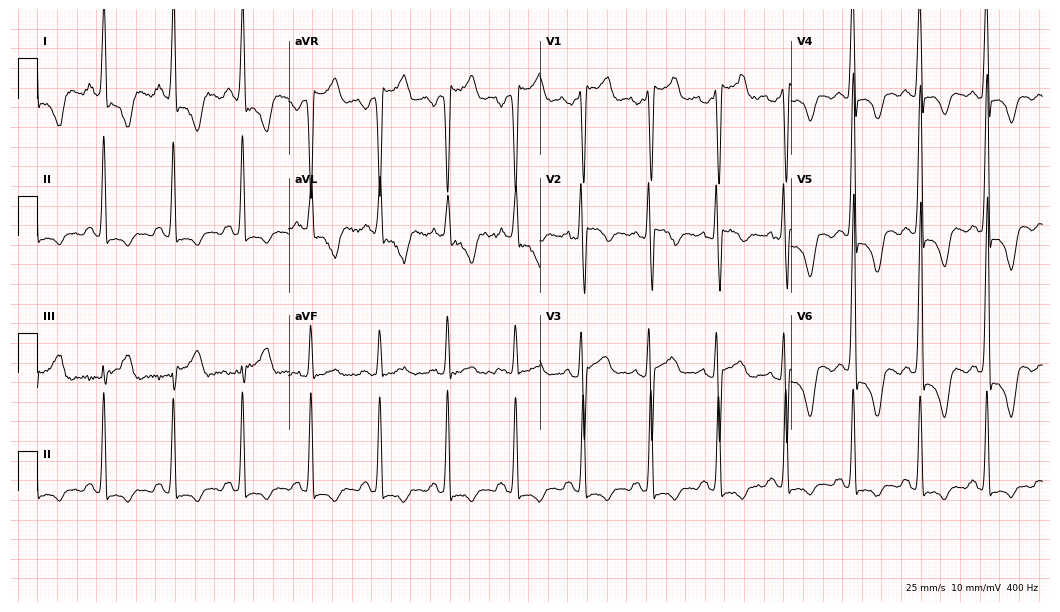
Electrocardiogram, a 32-year-old male patient. Of the six screened findings (first-degree AV block, right bundle branch block (RBBB), left bundle branch block (LBBB), sinus bradycardia, atrial fibrillation (AF), sinus tachycardia), none is recorded. Other findings, if any, are not listed.